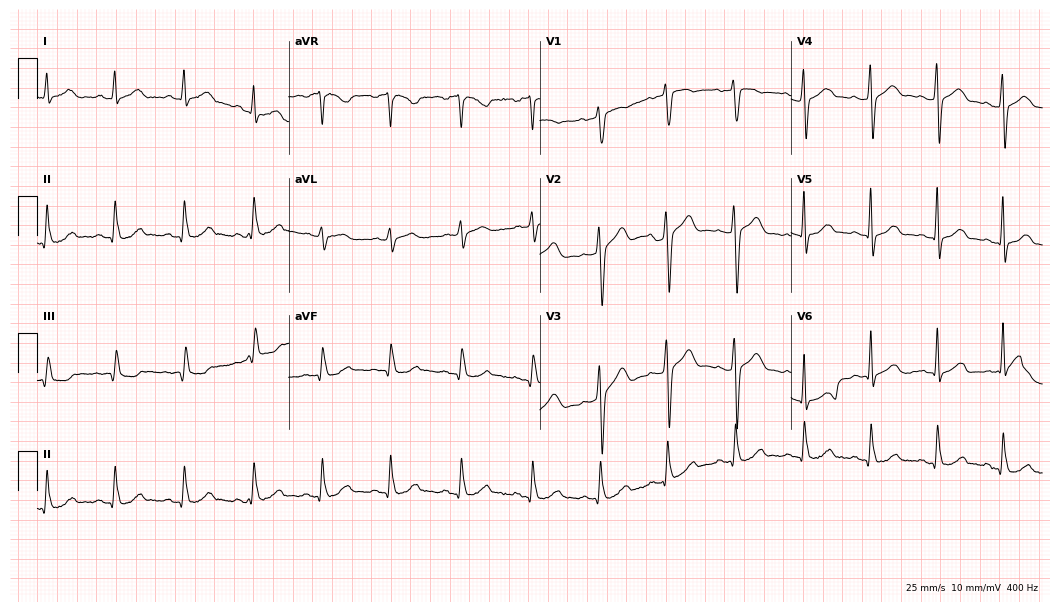
ECG — a 30-year-old female patient. Labelled as a normal ECG.